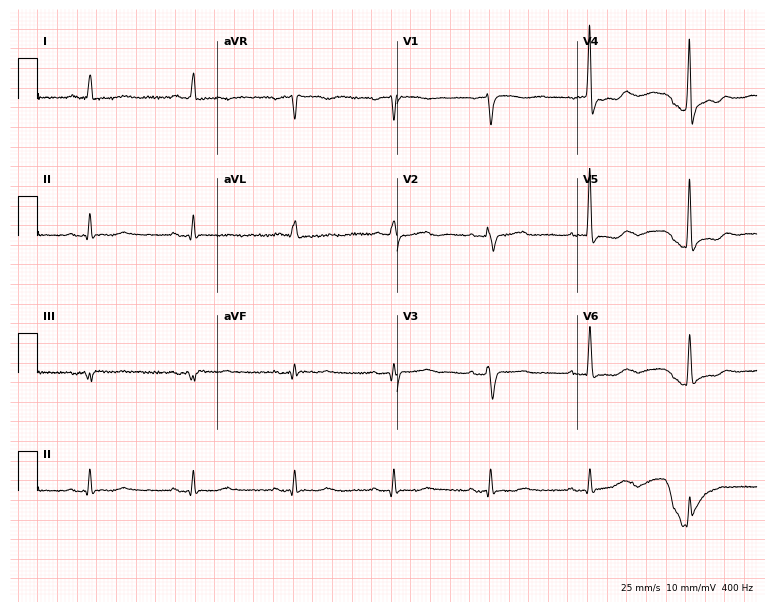
12-lead ECG (7.3-second recording at 400 Hz) from a female, 54 years old. Screened for six findings — first-degree AV block, right bundle branch block, left bundle branch block, sinus bradycardia, atrial fibrillation, sinus tachycardia — none is recorded. Other findings, if any, are not listed.